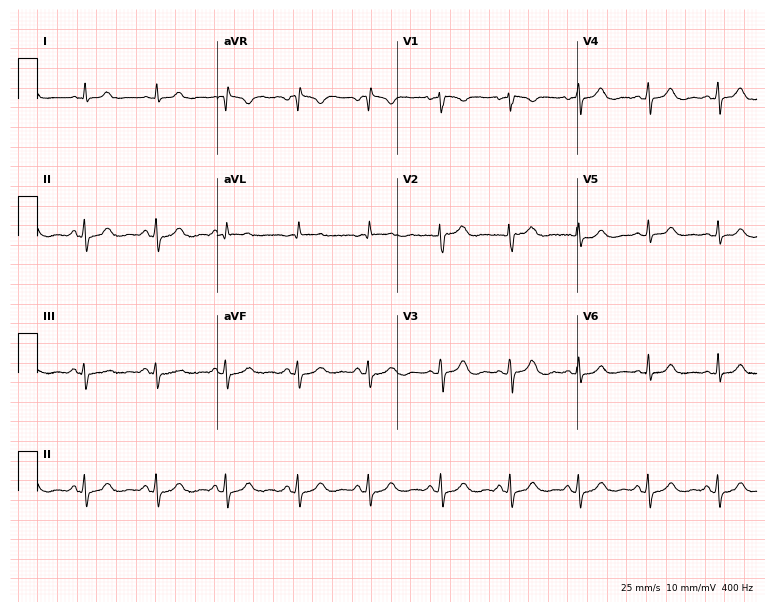
Resting 12-lead electrocardiogram (7.3-second recording at 400 Hz). Patient: a woman, 54 years old. None of these six findings is recorded: first-degree AV block, right bundle branch block, left bundle branch block, sinus bradycardia, atrial fibrillation, sinus tachycardia. Findings outside these six are not listed.